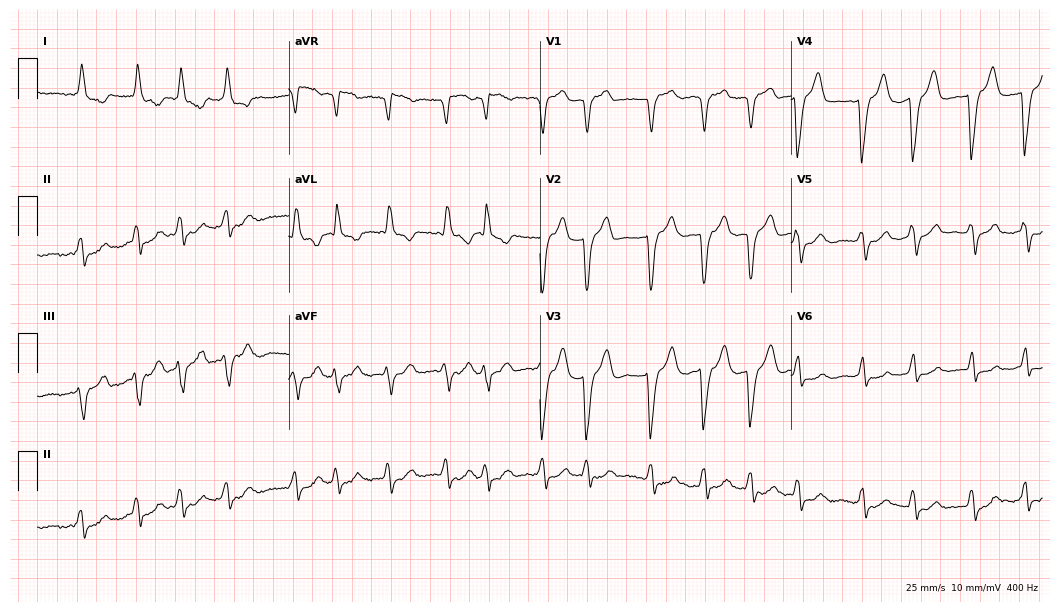
ECG (10.2-second recording at 400 Hz) — a female patient, 75 years old. Findings include atrial fibrillation.